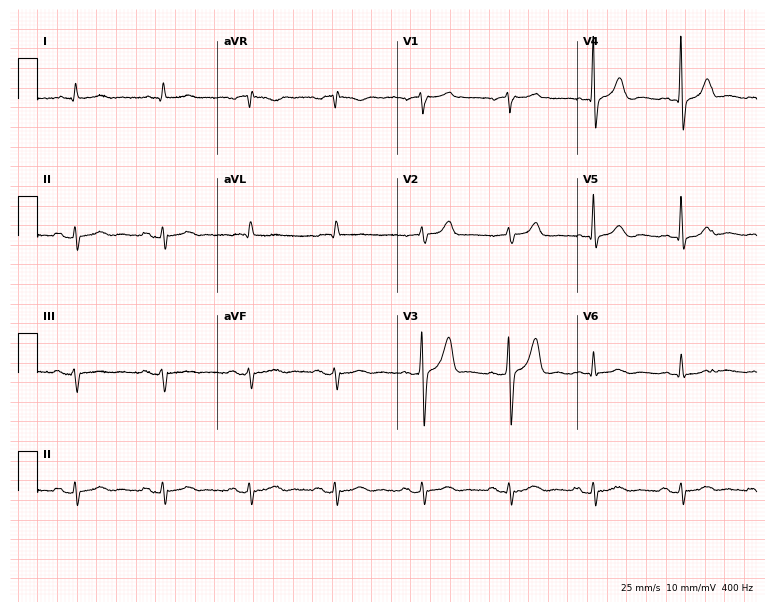
Electrocardiogram (7.3-second recording at 400 Hz), a 71-year-old man. Overall reading on record: normal ECG.